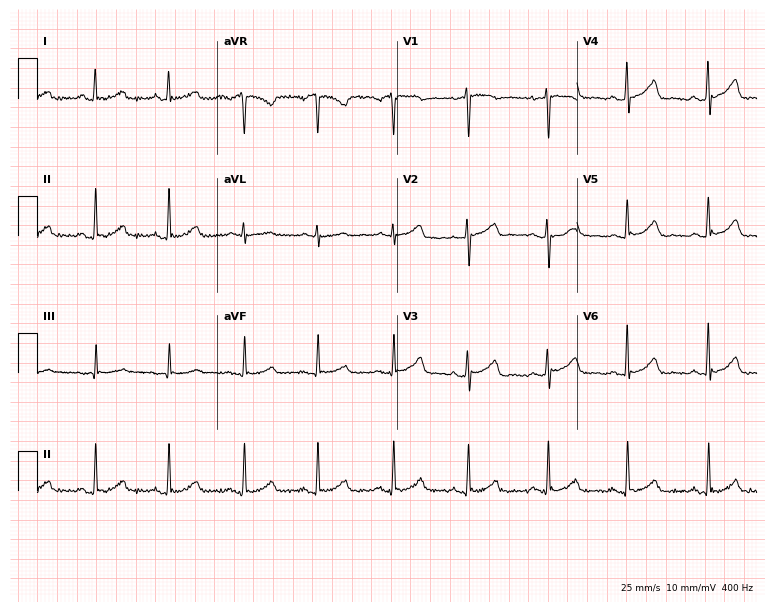
Standard 12-lead ECG recorded from a 53-year-old woman. None of these six findings is recorded: first-degree AV block, right bundle branch block (RBBB), left bundle branch block (LBBB), sinus bradycardia, atrial fibrillation (AF), sinus tachycardia.